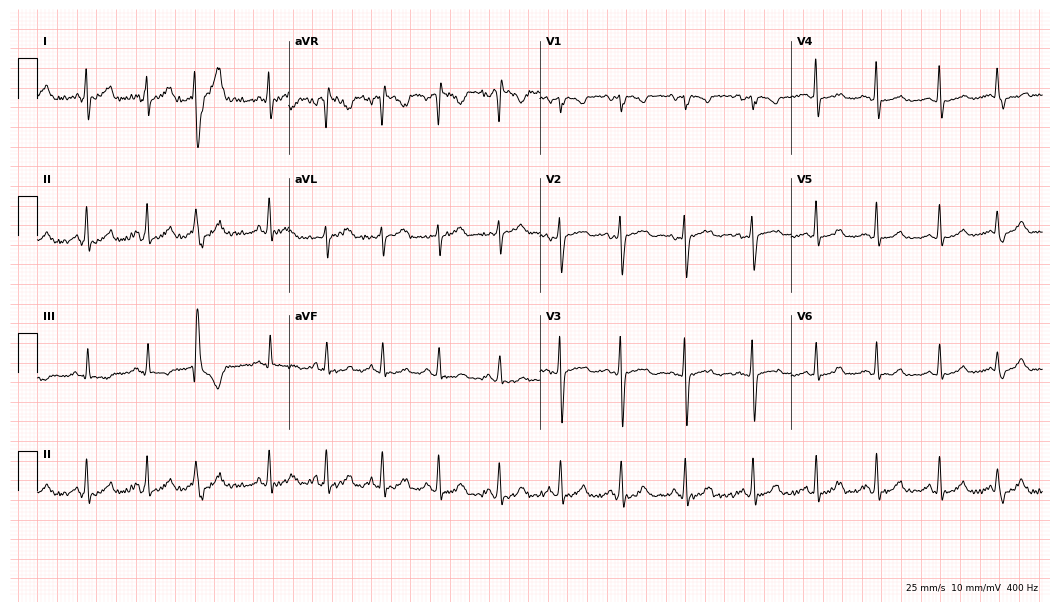
12-lead ECG (10.2-second recording at 400 Hz) from a woman, 29 years old. Labelled as a normal ECG.